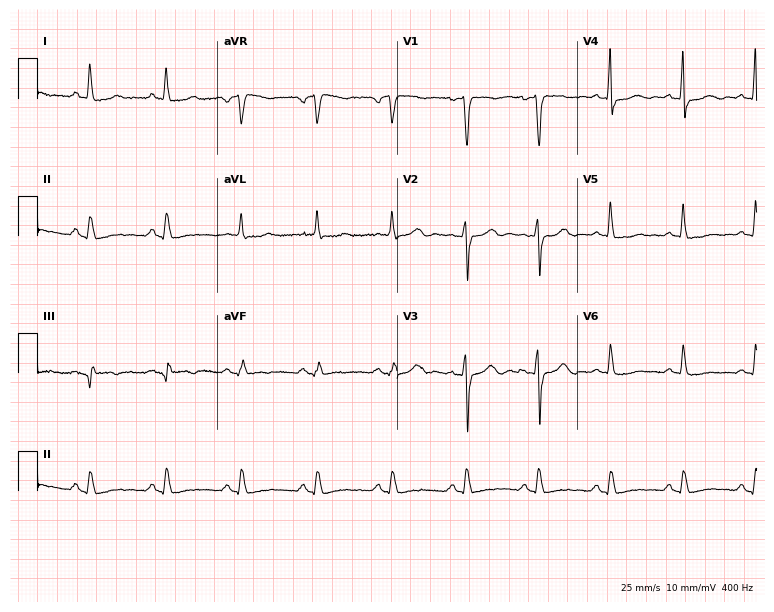
12-lead ECG from a female patient, 61 years old (7.3-second recording at 400 Hz). No first-degree AV block, right bundle branch block, left bundle branch block, sinus bradycardia, atrial fibrillation or sinus tachycardia recorded for this tracing. Other findings, if any, are not listed.